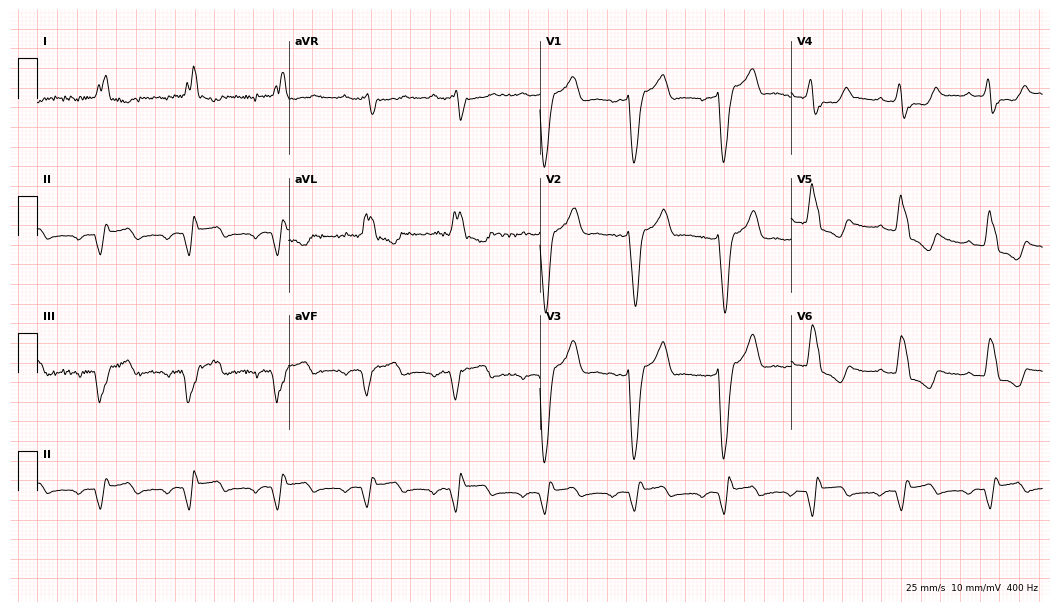
Resting 12-lead electrocardiogram. Patient: a 77-year-old man. The tracing shows left bundle branch block (LBBB).